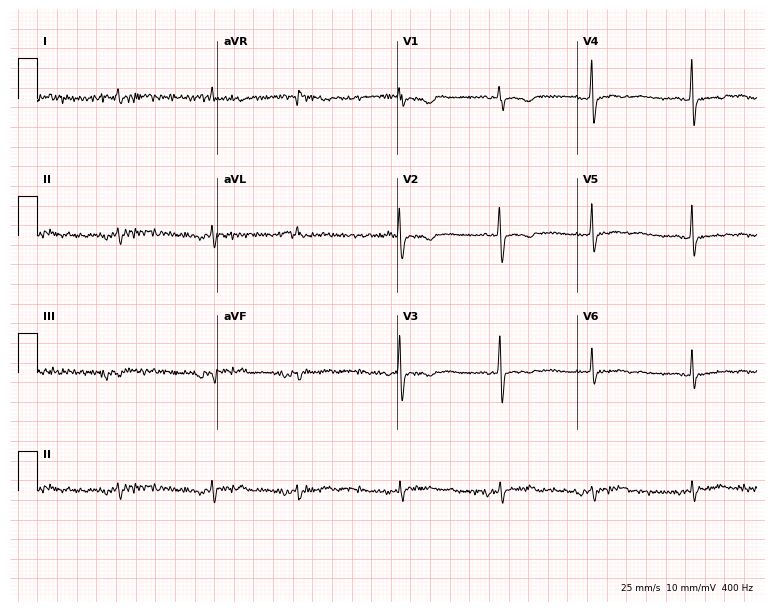
12-lead ECG from a female, 73 years old. Screened for six findings — first-degree AV block, right bundle branch block, left bundle branch block, sinus bradycardia, atrial fibrillation, sinus tachycardia — none is recorded.